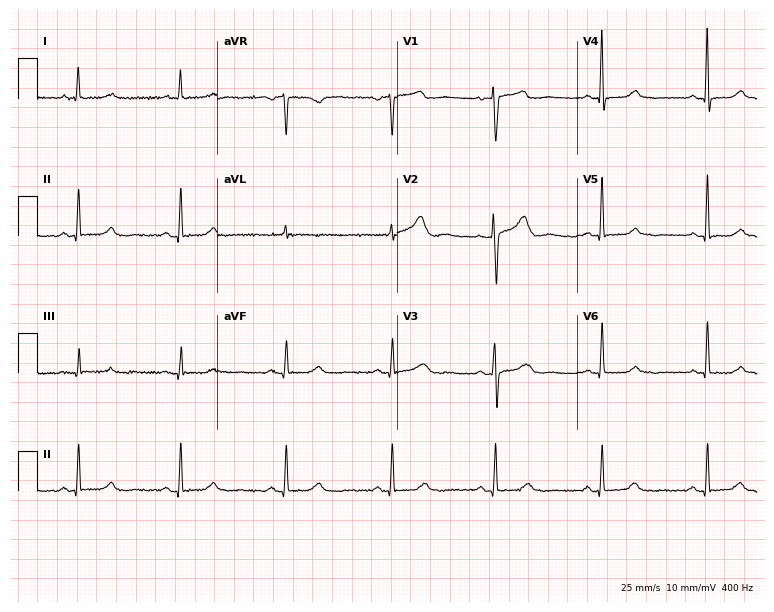
12-lead ECG from a 52-year-old female patient. Screened for six findings — first-degree AV block, right bundle branch block (RBBB), left bundle branch block (LBBB), sinus bradycardia, atrial fibrillation (AF), sinus tachycardia — none is recorded.